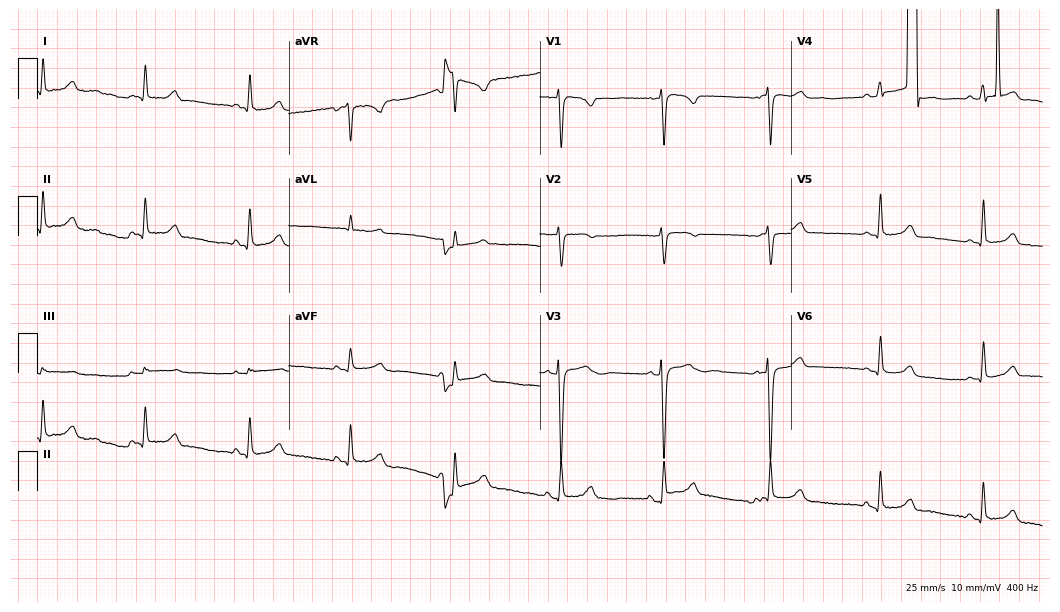
ECG — a woman, 50 years old. Screened for six findings — first-degree AV block, right bundle branch block, left bundle branch block, sinus bradycardia, atrial fibrillation, sinus tachycardia — none is recorded.